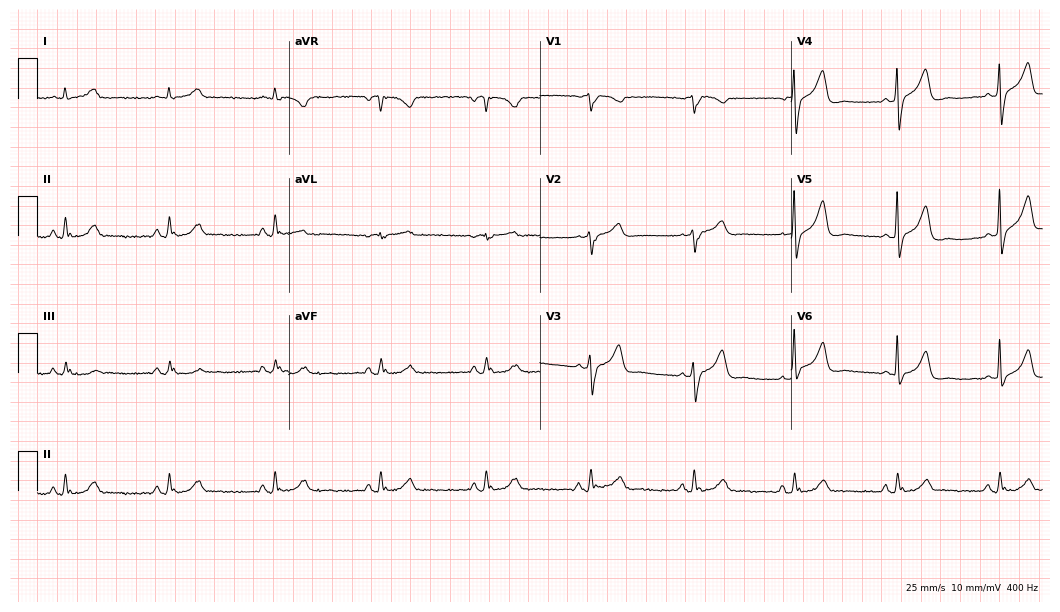
Standard 12-lead ECG recorded from a male, 76 years old (10.2-second recording at 400 Hz). None of these six findings is recorded: first-degree AV block, right bundle branch block (RBBB), left bundle branch block (LBBB), sinus bradycardia, atrial fibrillation (AF), sinus tachycardia.